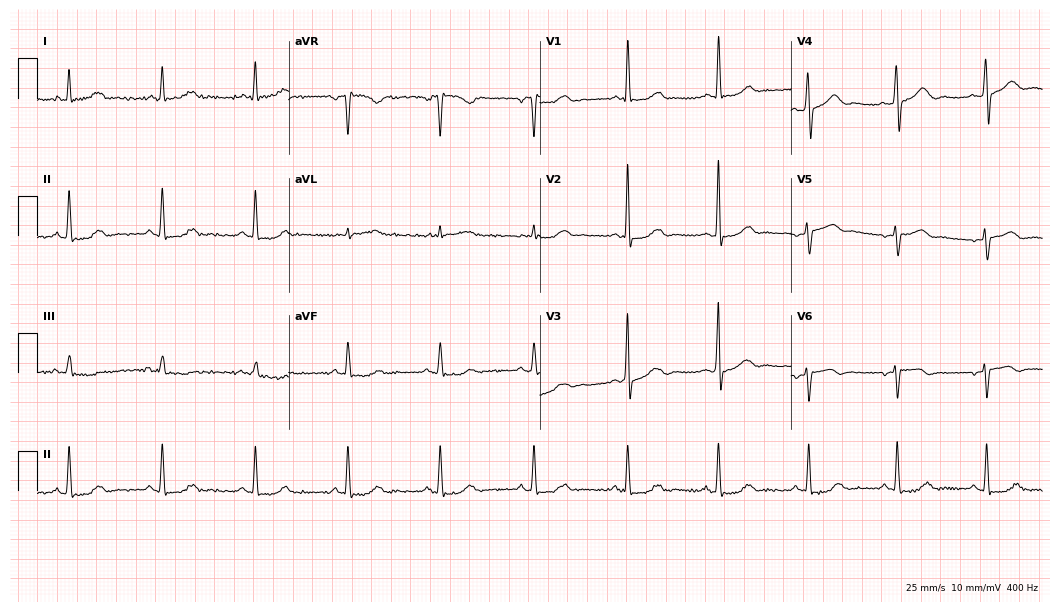
Standard 12-lead ECG recorded from a 57-year-old woman. None of these six findings is recorded: first-degree AV block, right bundle branch block (RBBB), left bundle branch block (LBBB), sinus bradycardia, atrial fibrillation (AF), sinus tachycardia. Only these six findings were labelled.